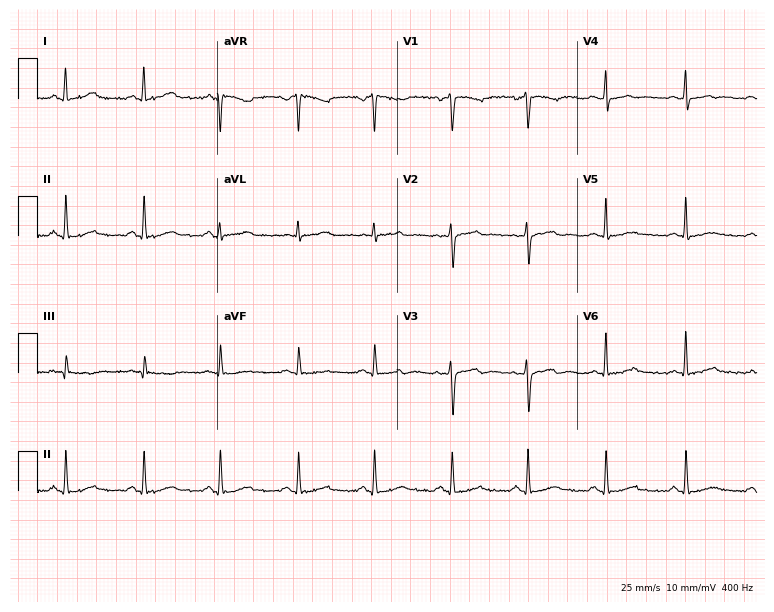
12-lead ECG from a 41-year-old female (7.3-second recording at 400 Hz). Recorded interpretation: within normal limits.